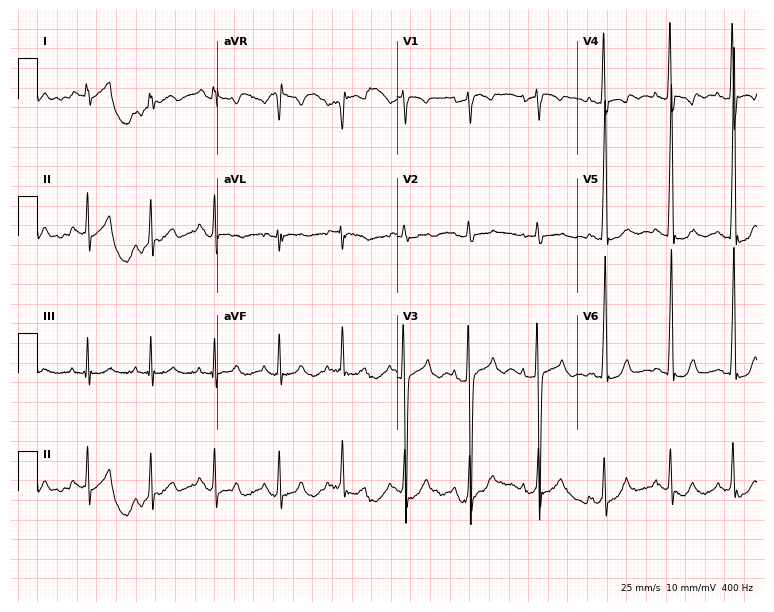
Resting 12-lead electrocardiogram (7.3-second recording at 400 Hz). Patient: a 26-year-old woman. Read as a normal ECG.